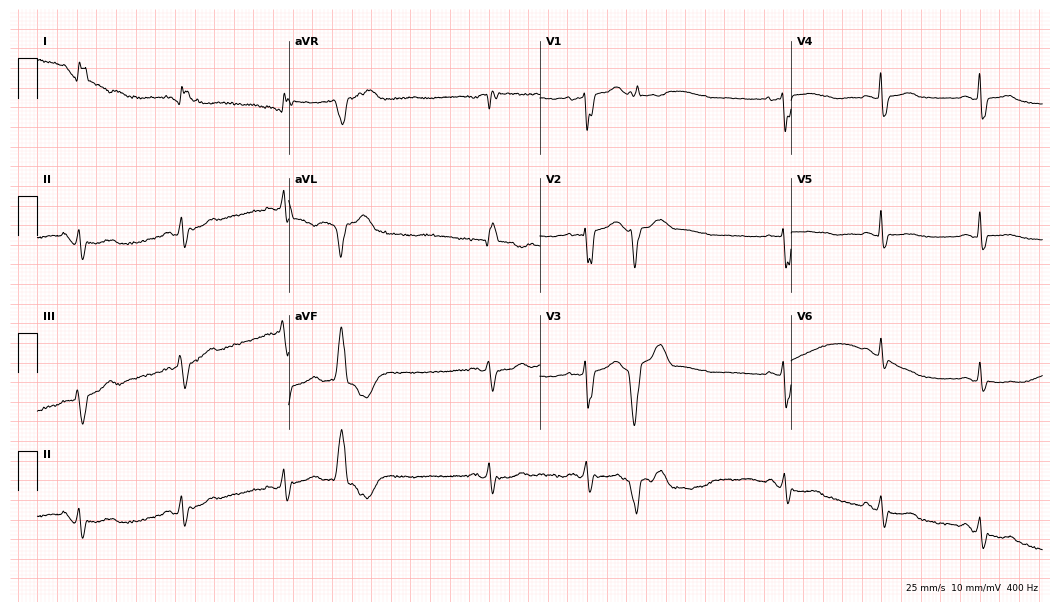
12-lead ECG from a female, 80 years old (10.2-second recording at 400 Hz). No first-degree AV block, right bundle branch block, left bundle branch block, sinus bradycardia, atrial fibrillation or sinus tachycardia recorded for this tracing. Findings outside these six are not listed.